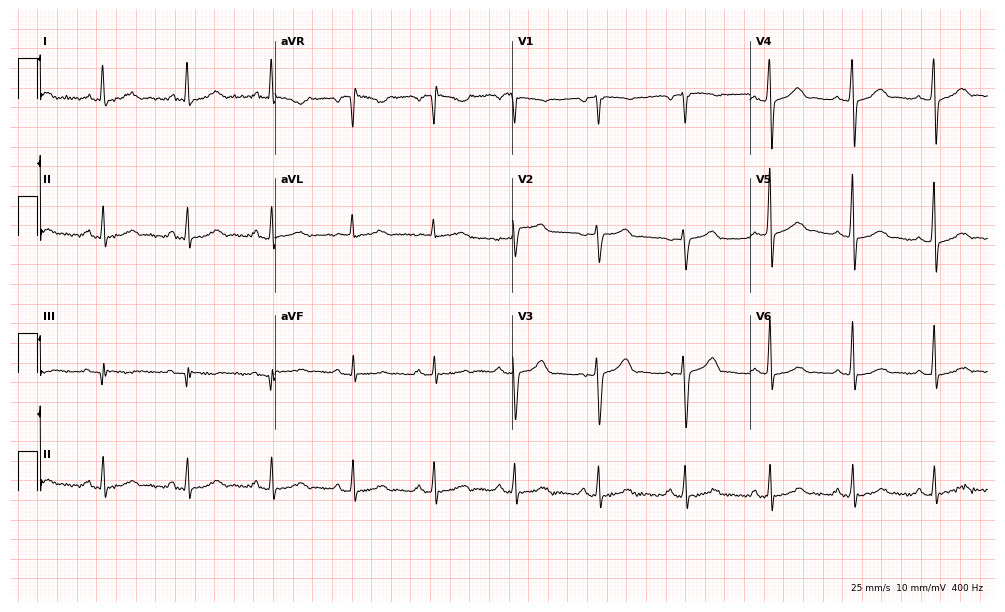
Electrocardiogram (9.7-second recording at 400 Hz), a 57-year-old female. Of the six screened findings (first-degree AV block, right bundle branch block, left bundle branch block, sinus bradycardia, atrial fibrillation, sinus tachycardia), none is recorded.